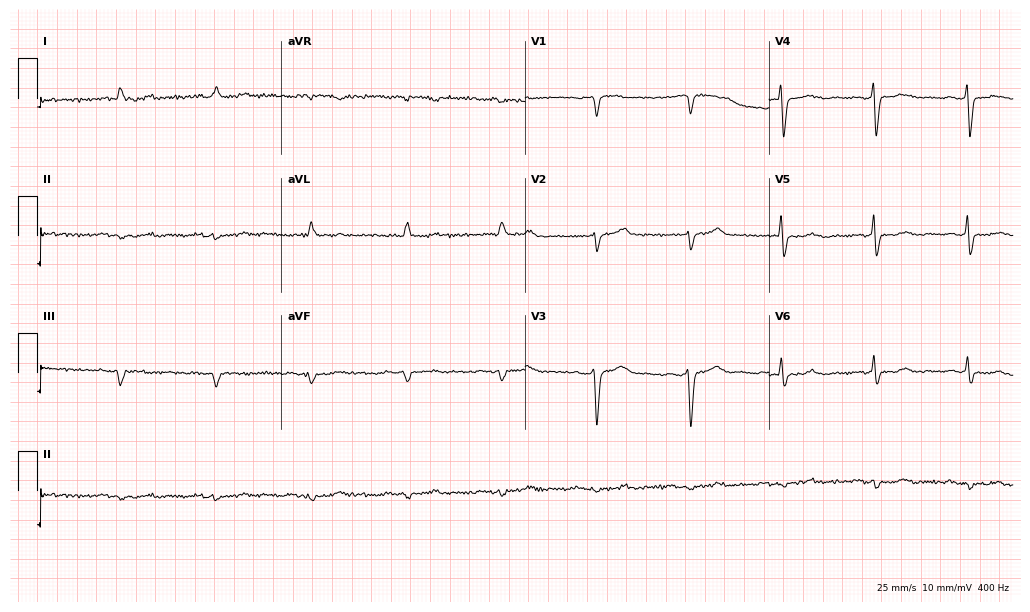
12-lead ECG from a 71-year-old male. No first-degree AV block, right bundle branch block, left bundle branch block, sinus bradycardia, atrial fibrillation or sinus tachycardia recorded for this tracing.